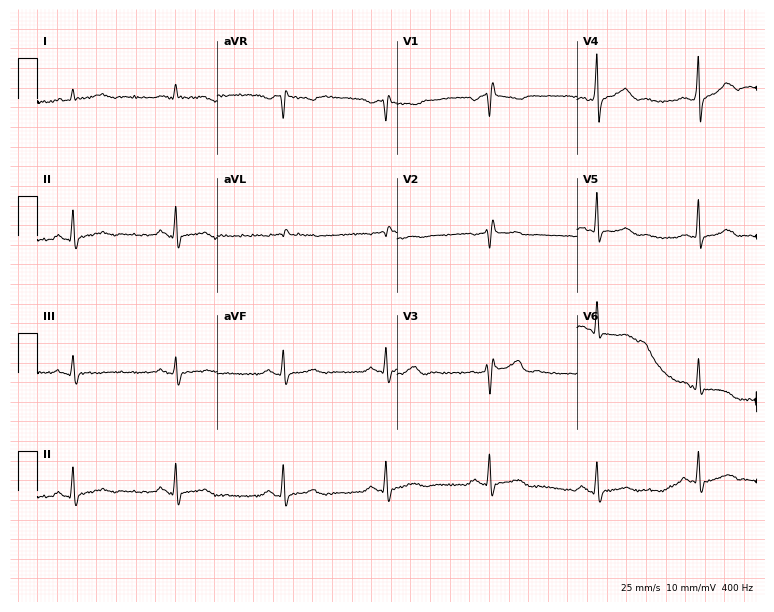
Electrocardiogram, a 25-year-old man. Of the six screened findings (first-degree AV block, right bundle branch block, left bundle branch block, sinus bradycardia, atrial fibrillation, sinus tachycardia), none is recorded. Findings outside these six are not listed.